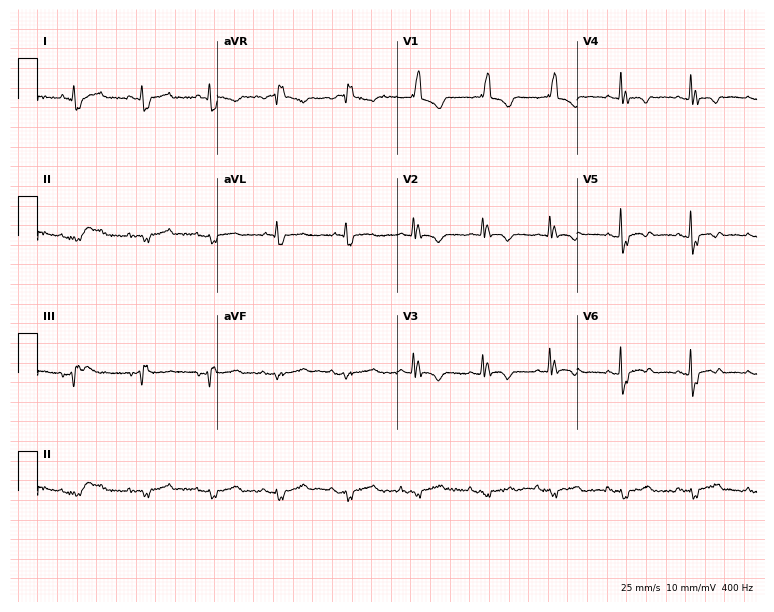
Electrocardiogram (7.3-second recording at 400 Hz), a female, 83 years old. Interpretation includes right bundle branch block (RBBB).